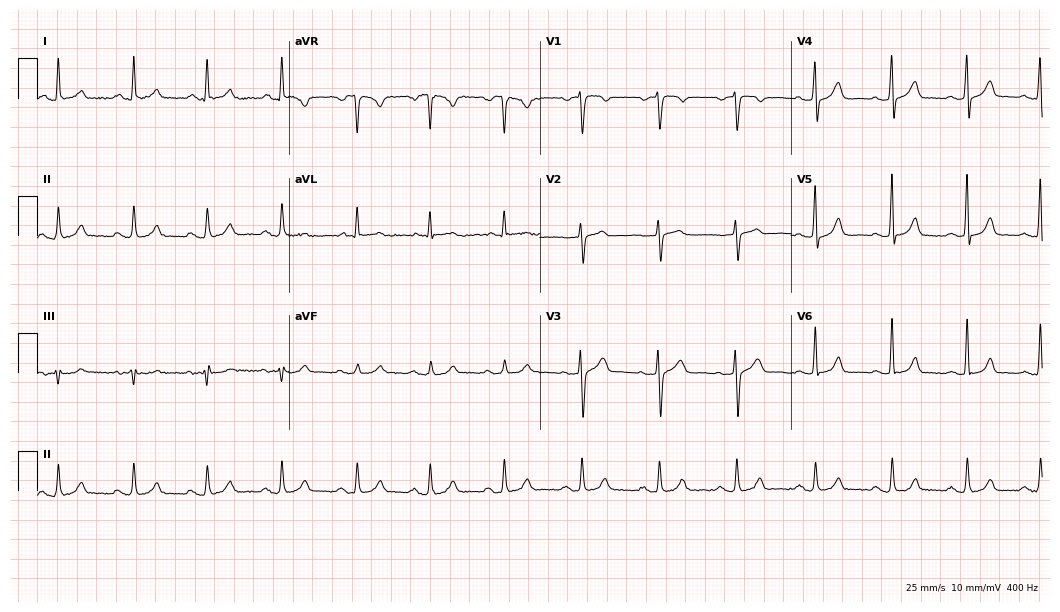
12-lead ECG from a female patient, 43 years old (10.2-second recording at 400 Hz). Recorded interpretation: within normal limits.